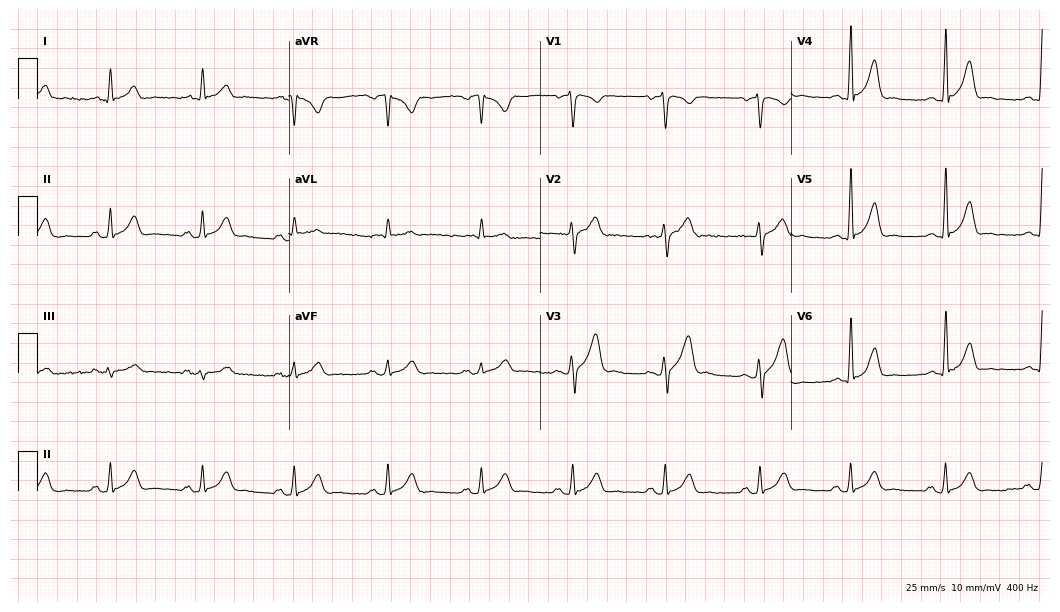
12-lead ECG from a 31-year-old male. Labelled as a normal ECG.